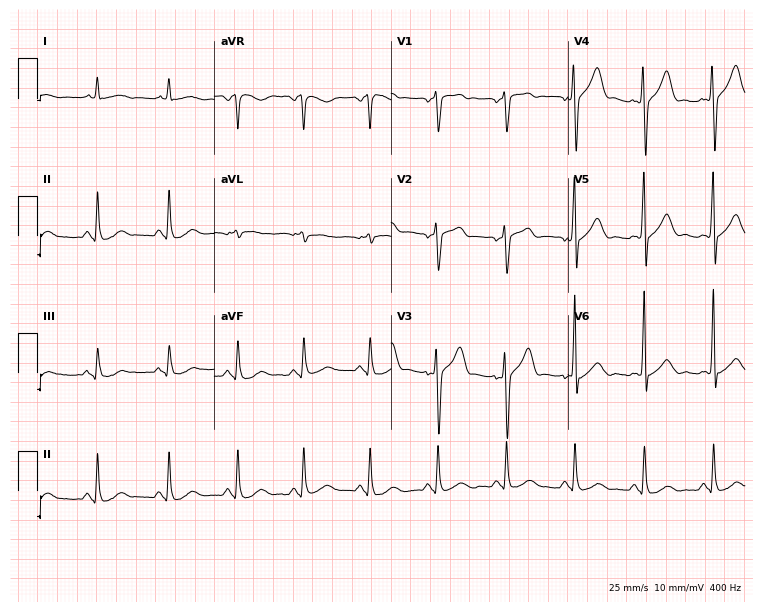
Standard 12-lead ECG recorded from a 49-year-old male. Read as a normal ECG.